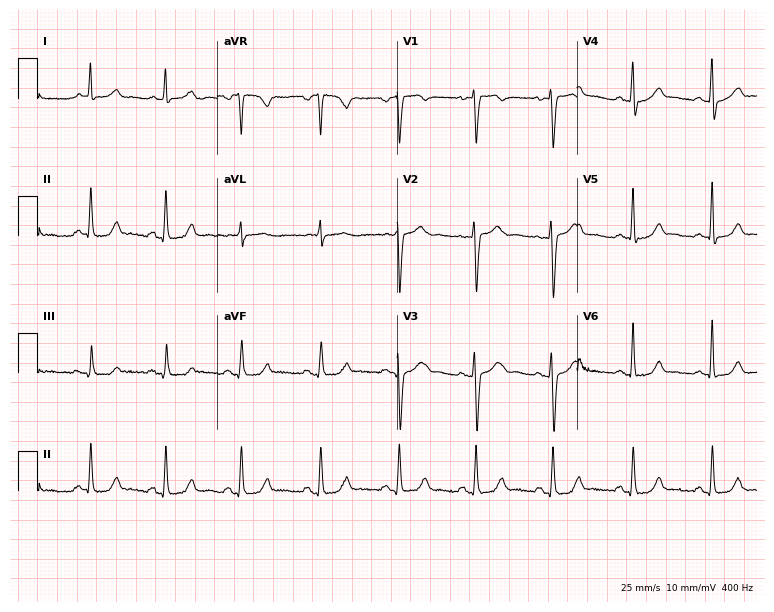
Resting 12-lead electrocardiogram. Patient: a female, 35 years old. Read as a normal ECG.